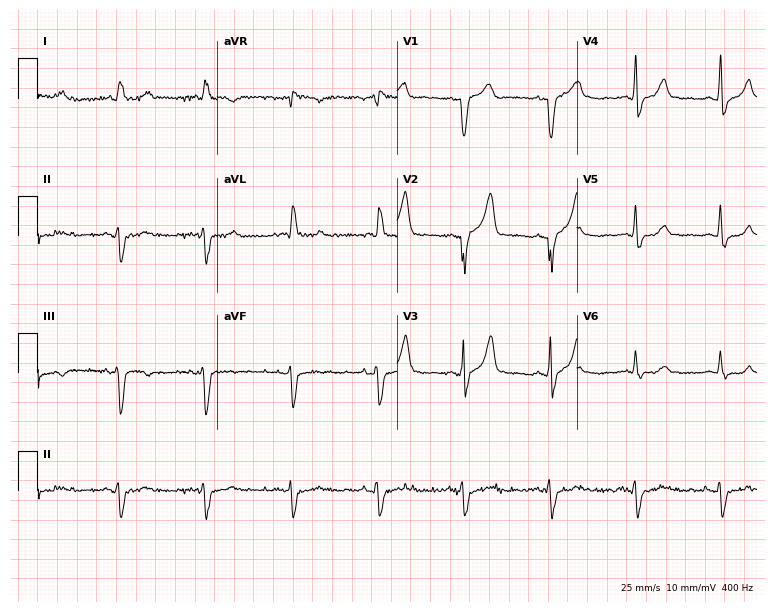
12-lead ECG from a 76-year-old male patient. Screened for six findings — first-degree AV block, right bundle branch block, left bundle branch block, sinus bradycardia, atrial fibrillation, sinus tachycardia — none is recorded. Only these six findings were labelled.